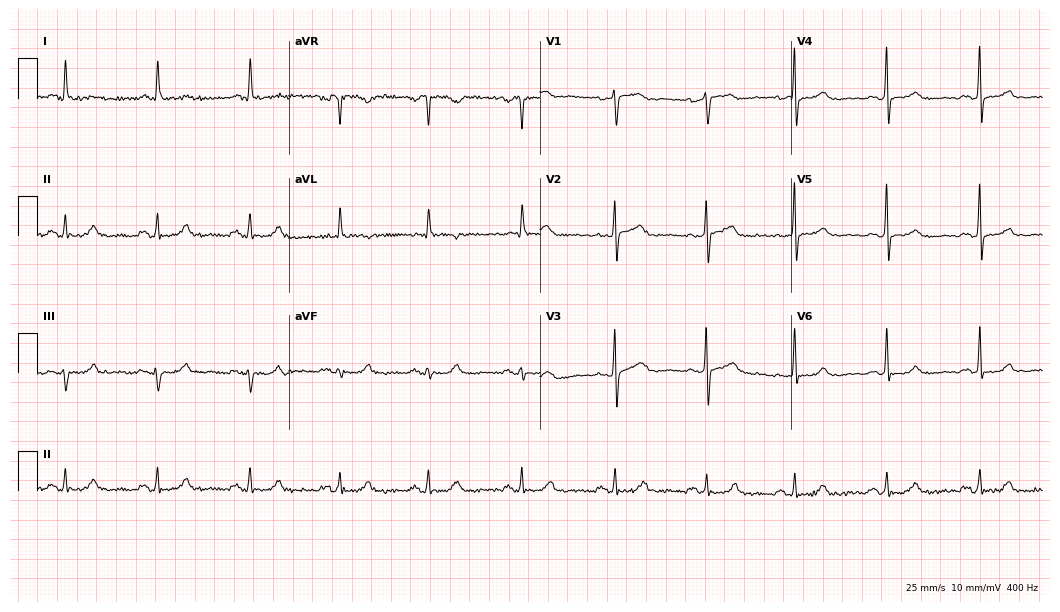
12-lead ECG from a 69-year-old female patient (10.2-second recording at 400 Hz). No first-degree AV block, right bundle branch block, left bundle branch block, sinus bradycardia, atrial fibrillation or sinus tachycardia recorded for this tracing.